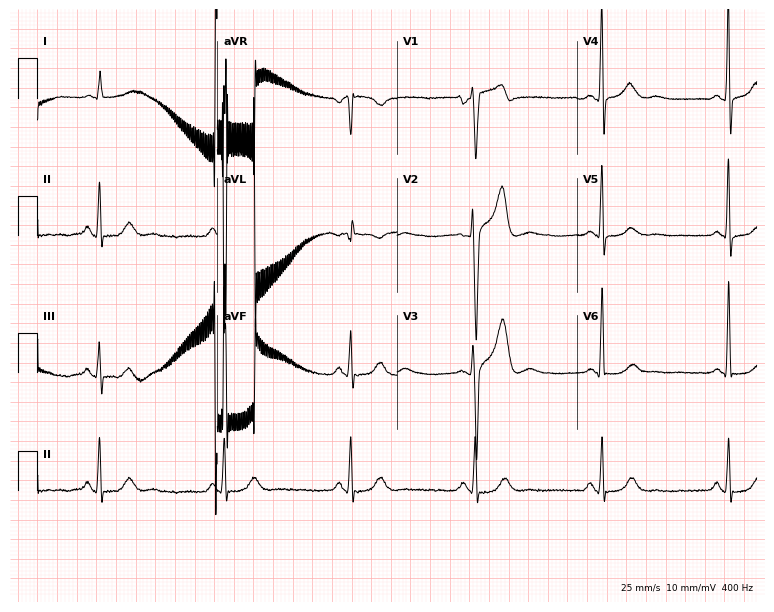
Resting 12-lead electrocardiogram (7.3-second recording at 400 Hz). Patient: a male, 39 years old. None of these six findings is recorded: first-degree AV block, right bundle branch block, left bundle branch block, sinus bradycardia, atrial fibrillation, sinus tachycardia. Findings outside these six are not listed.